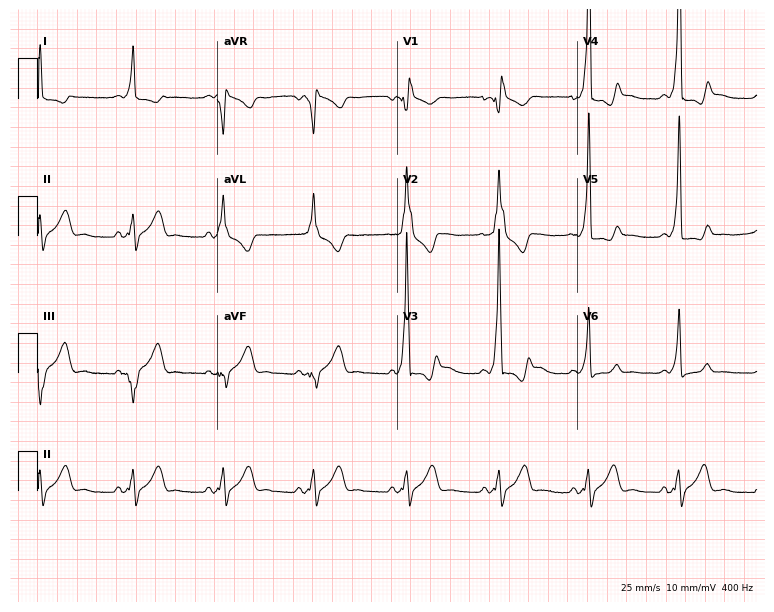
ECG (7.3-second recording at 400 Hz) — a male, 29 years old. Screened for six findings — first-degree AV block, right bundle branch block, left bundle branch block, sinus bradycardia, atrial fibrillation, sinus tachycardia — none is recorded. Other findings, if any, are not listed.